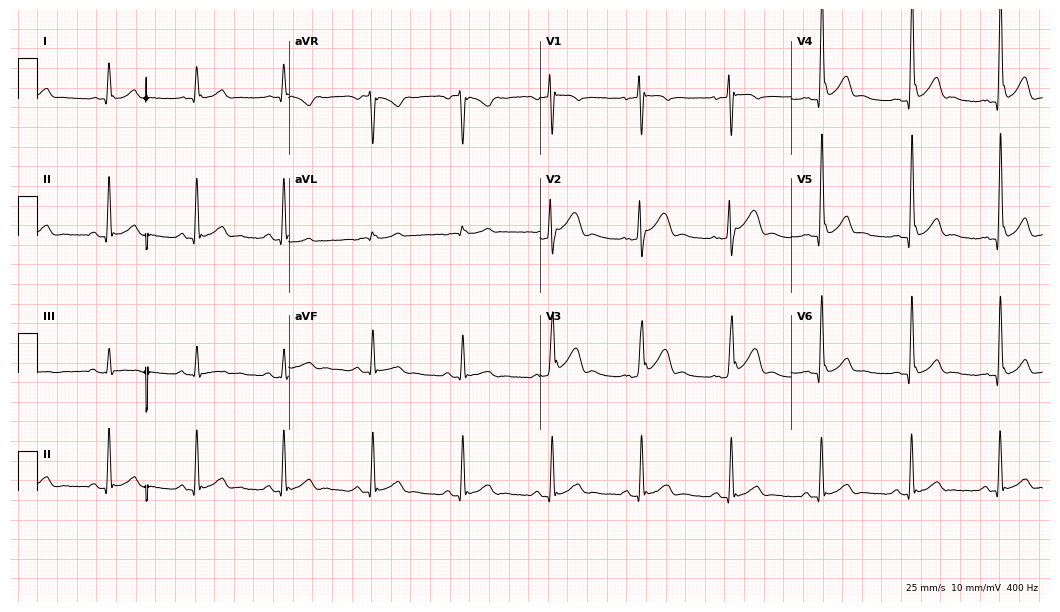
Electrocardiogram (10.2-second recording at 400 Hz), a male, 53 years old. Of the six screened findings (first-degree AV block, right bundle branch block (RBBB), left bundle branch block (LBBB), sinus bradycardia, atrial fibrillation (AF), sinus tachycardia), none is recorded. Only these six findings were labelled.